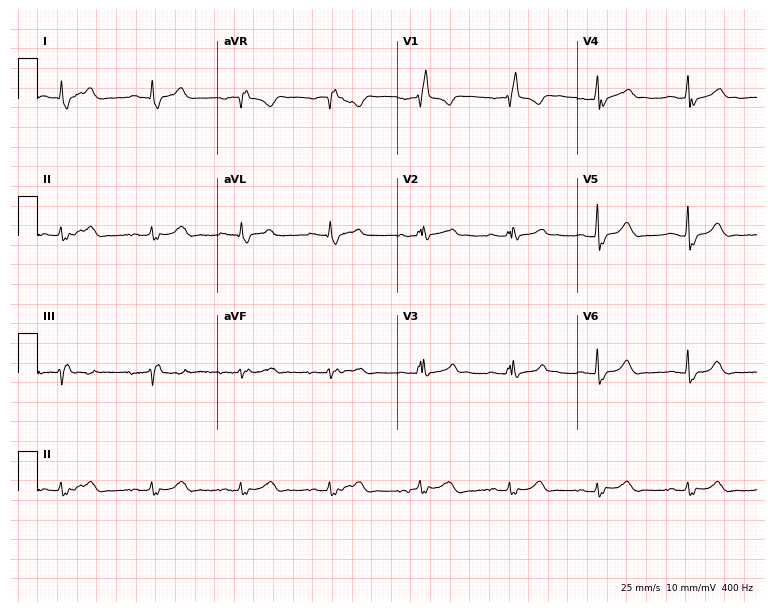
Electrocardiogram, a 43-year-old female. Interpretation includes right bundle branch block.